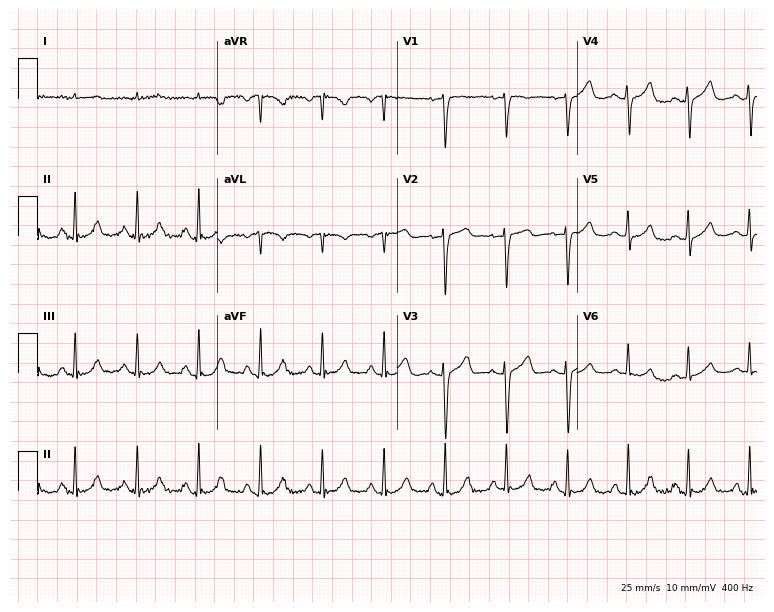
12-lead ECG from a 70-year-old man (7.3-second recording at 400 Hz). No first-degree AV block, right bundle branch block (RBBB), left bundle branch block (LBBB), sinus bradycardia, atrial fibrillation (AF) or sinus tachycardia recorded for this tracing.